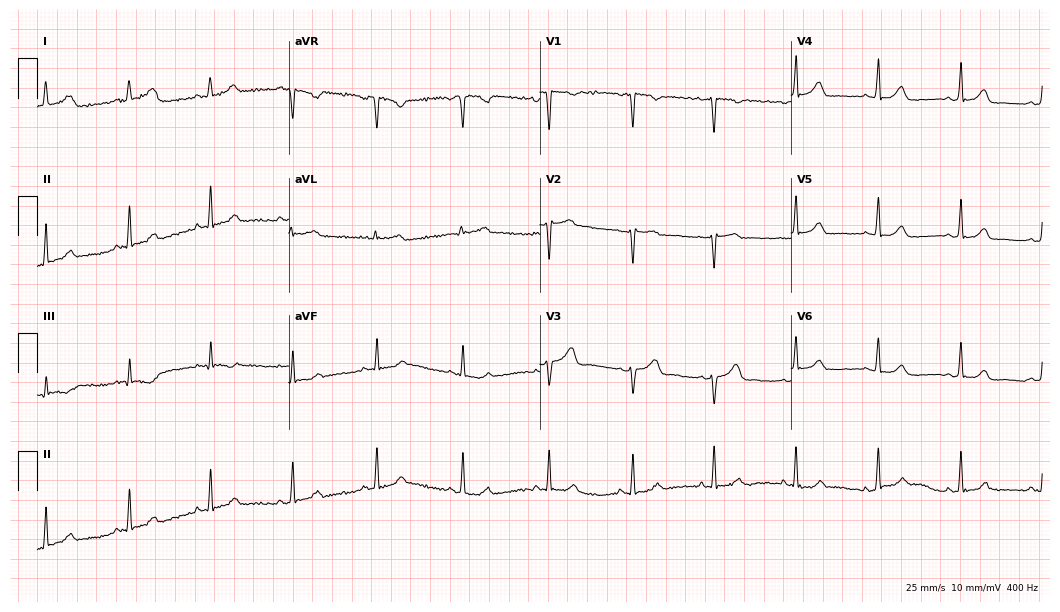
12-lead ECG from a 40-year-old female (10.2-second recording at 400 Hz). No first-degree AV block, right bundle branch block, left bundle branch block, sinus bradycardia, atrial fibrillation or sinus tachycardia recorded for this tracing.